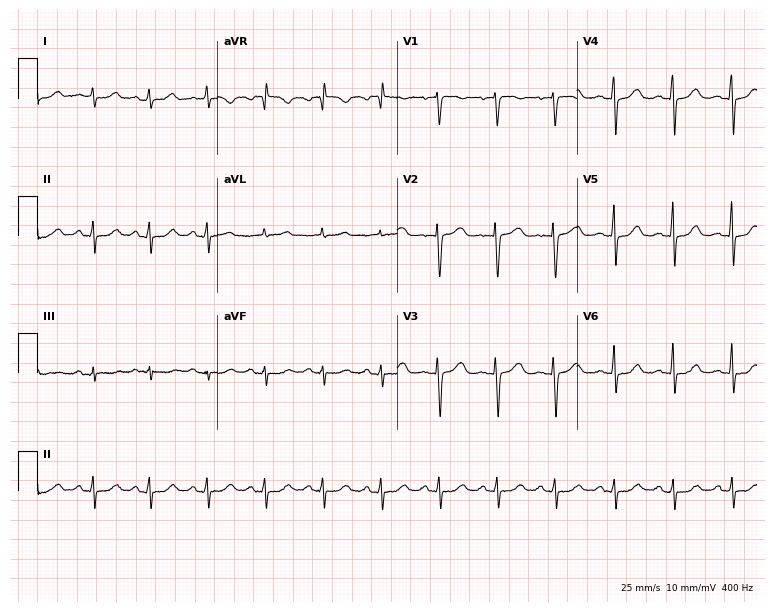
12-lead ECG from a female, 66 years old. Labelled as a normal ECG.